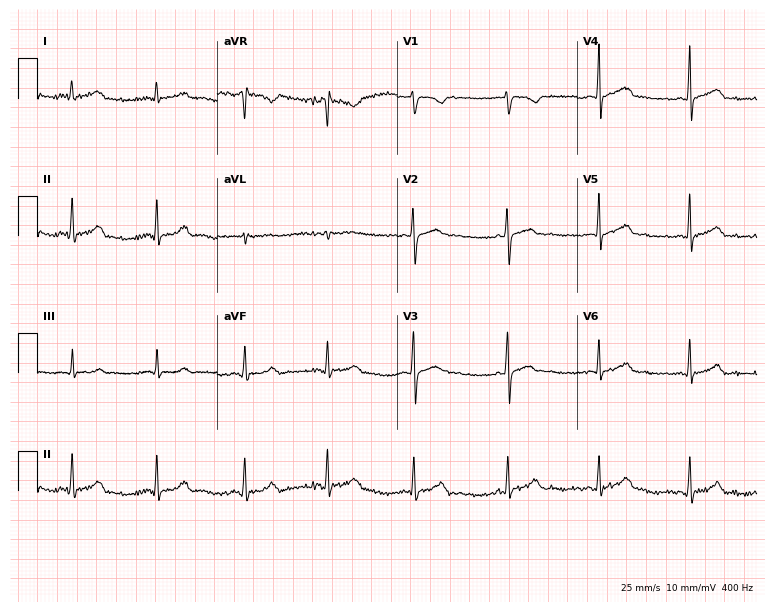
Standard 12-lead ECG recorded from a 22-year-old female. Read as a normal ECG.